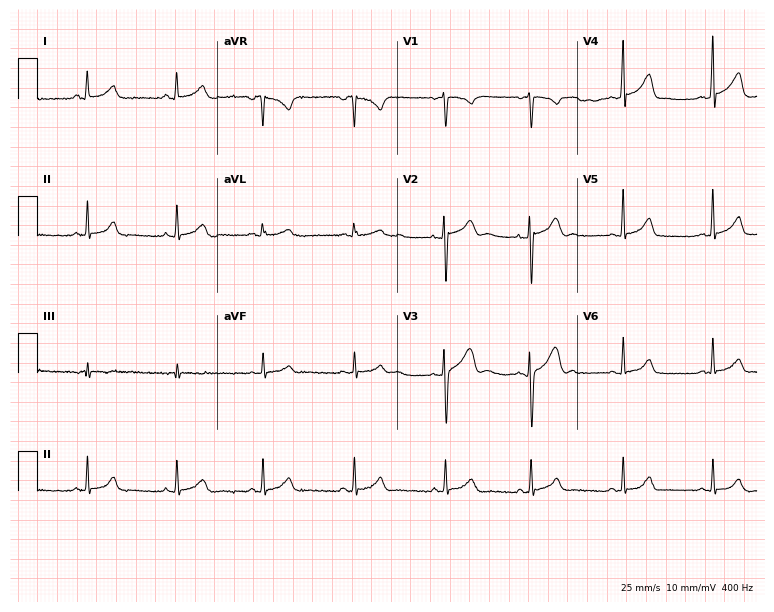
12-lead ECG from a 22-year-old female patient. No first-degree AV block, right bundle branch block (RBBB), left bundle branch block (LBBB), sinus bradycardia, atrial fibrillation (AF) or sinus tachycardia recorded for this tracing.